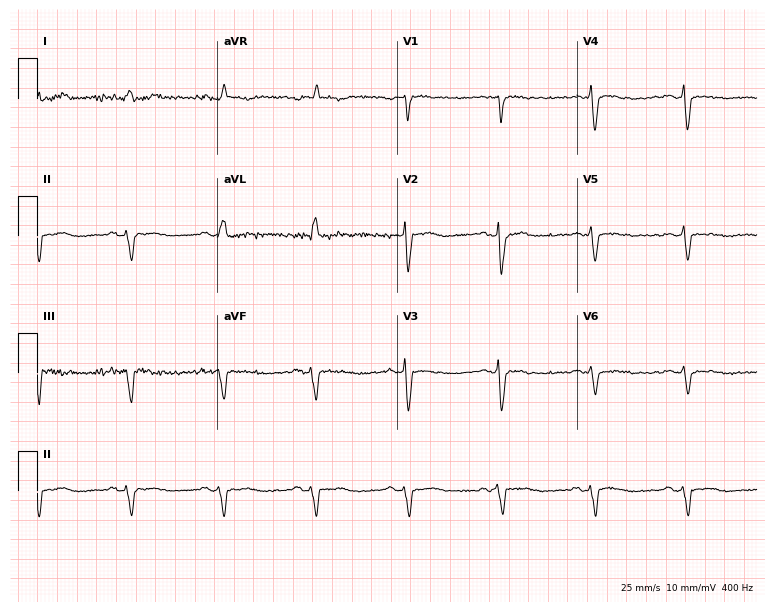
Electrocardiogram, a male patient, 79 years old. Of the six screened findings (first-degree AV block, right bundle branch block (RBBB), left bundle branch block (LBBB), sinus bradycardia, atrial fibrillation (AF), sinus tachycardia), none is recorded.